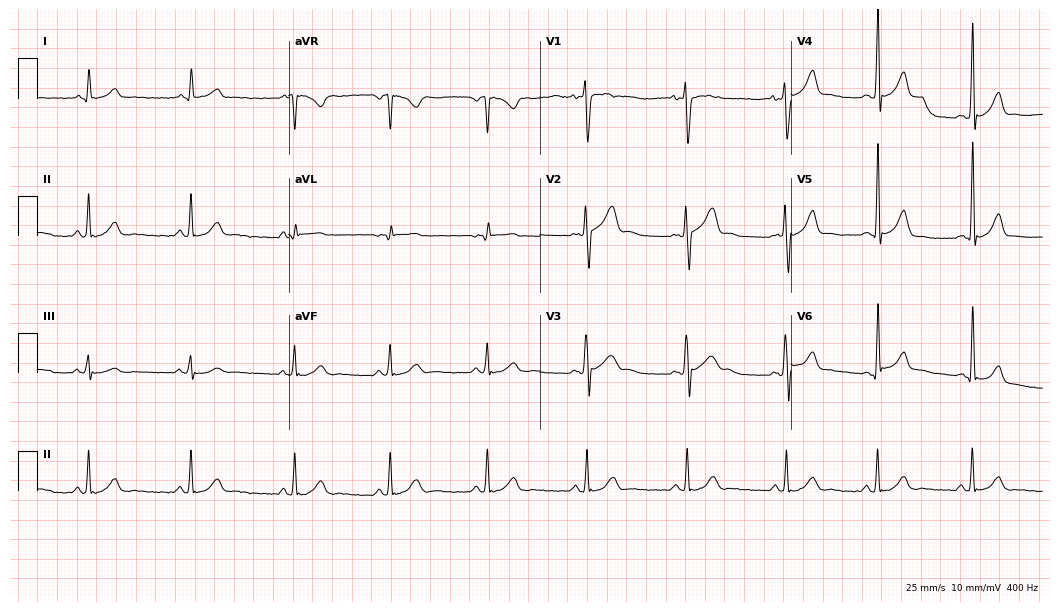
12-lead ECG (10.2-second recording at 400 Hz) from a 23-year-old male. Labelled as a normal ECG.